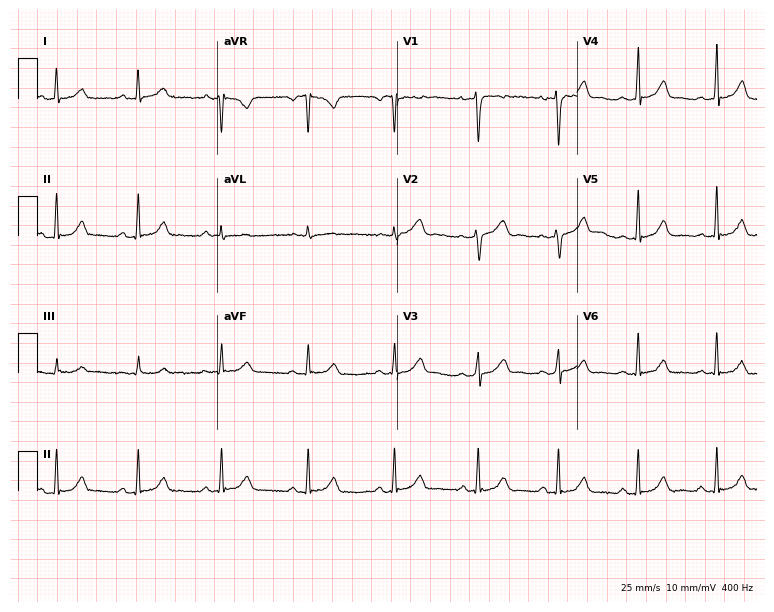
12-lead ECG from a 22-year-old female (7.3-second recording at 400 Hz). Recorded interpretation: within normal limits.